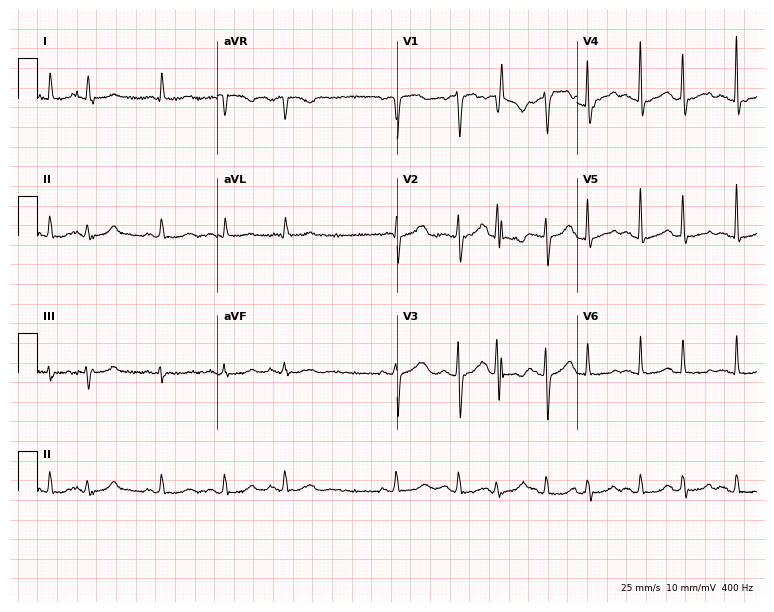
Electrocardiogram, a female, 83 years old. Of the six screened findings (first-degree AV block, right bundle branch block (RBBB), left bundle branch block (LBBB), sinus bradycardia, atrial fibrillation (AF), sinus tachycardia), none is recorded. Other findings, if any, are not listed.